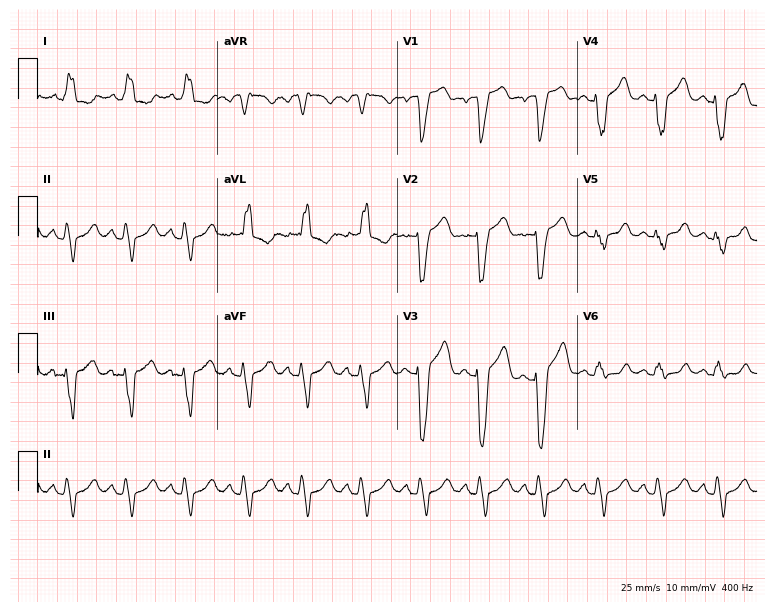
Standard 12-lead ECG recorded from a female, 82 years old (7.3-second recording at 400 Hz). The tracing shows left bundle branch block.